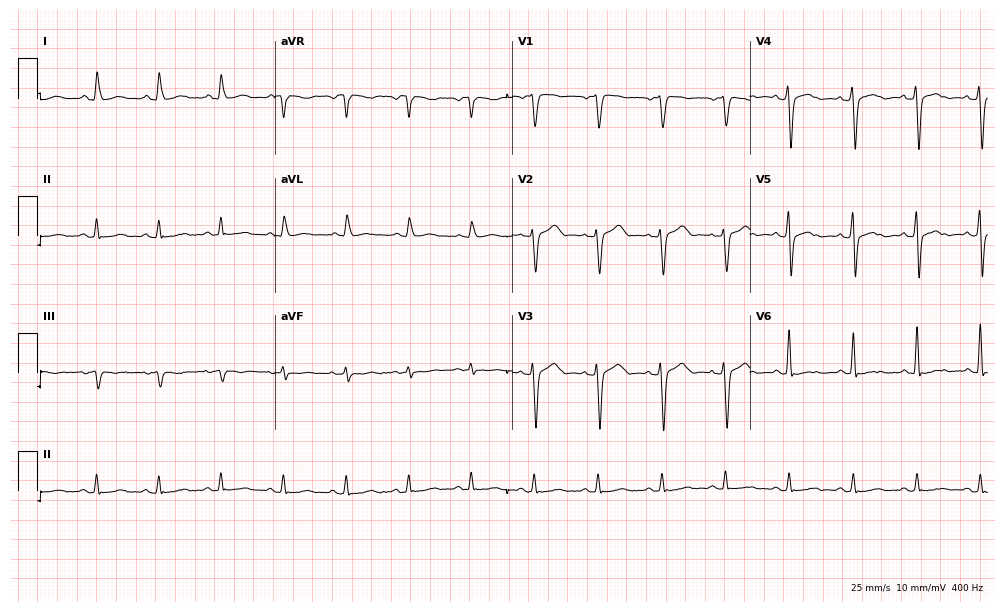
12-lead ECG from a man, 57 years old. Screened for six findings — first-degree AV block, right bundle branch block, left bundle branch block, sinus bradycardia, atrial fibrillation, sinus tachycardia — none is recorded. Findings outside these six are not listed.